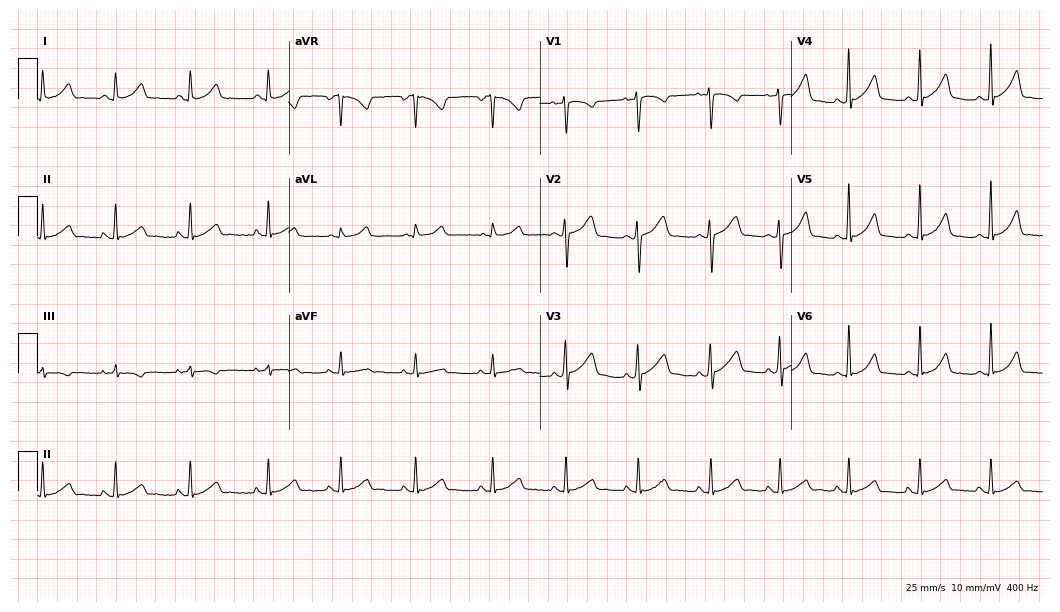
12-lead ECG from a 25-year-old woman. Labelled as a normal ECG.